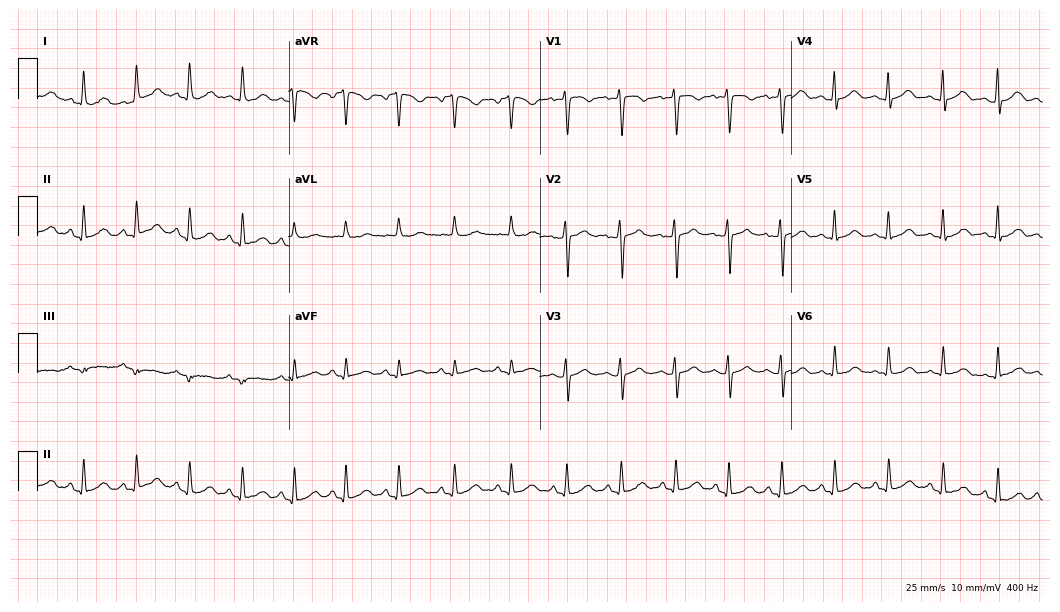
Electrocardiogram, a female patient, 23 years old. Interpretation includes sinus tachycardia (a sinus rate of 100 beats per minute or more).